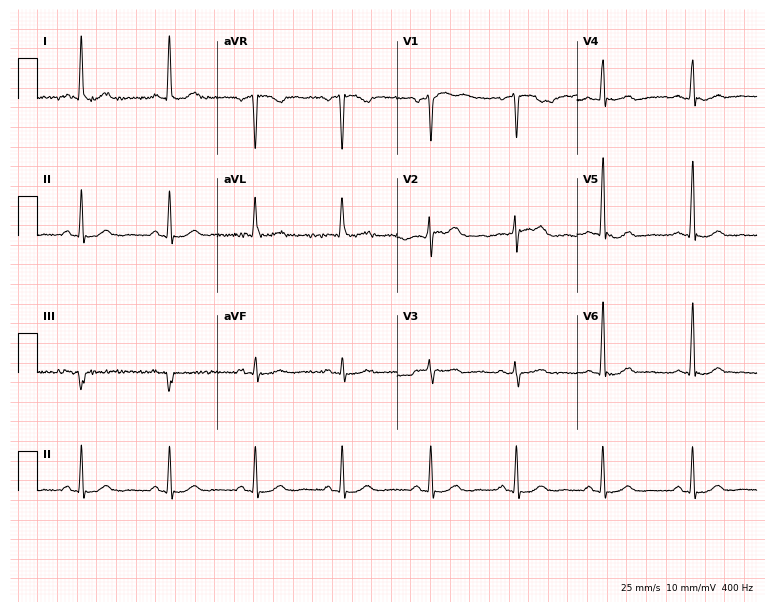
Electrocardiogram (7.3-second recording at 400 Hz), a 63-year-old female. Overall reading on record: normal ECG.